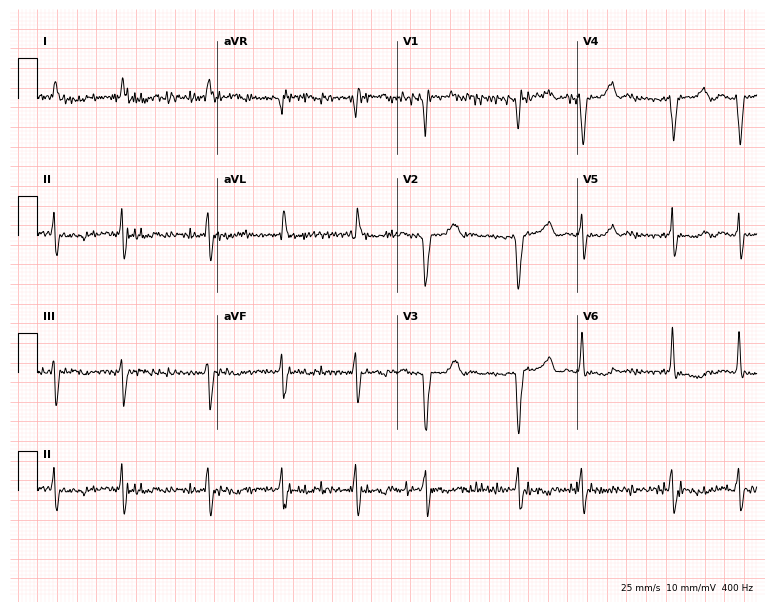
Electrocardiogram (7.3-second recording at 400 Hz), a 78-year-old male. Of the six screened findings (first-degree AV block, right bundle branch block (RBBB), left bundle branch block (LBBB), sinus bradycardia, atrial fibrillation (AF), sinus tachycardia), none is recorded.